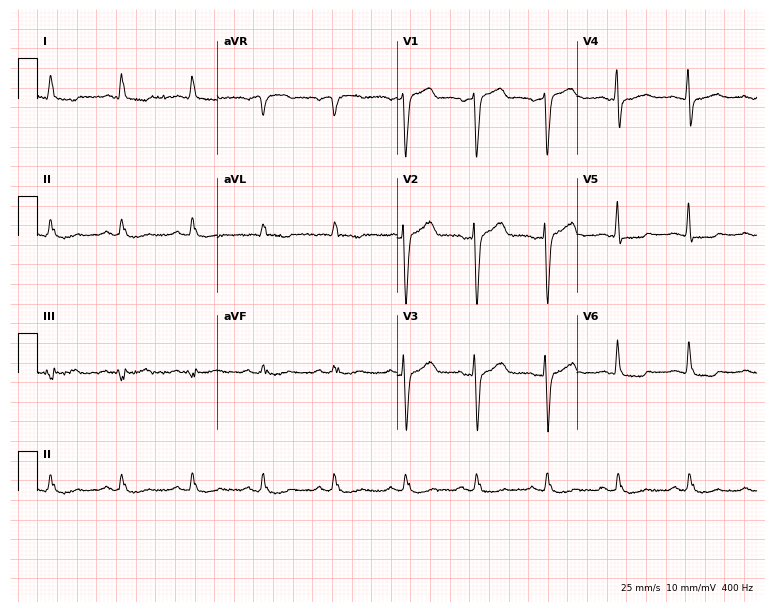
Resting 12-lead electrocardiogram (7.3-second recording at 400 Hz). Patient: a 57-year-old male. None of these six findings is recorded: first-degree AV block, right bundle branch block, left bundle branch block, sinus bradycardia, atrial fibrillation, sinus tachycardia. Findings outside these six are not listed.